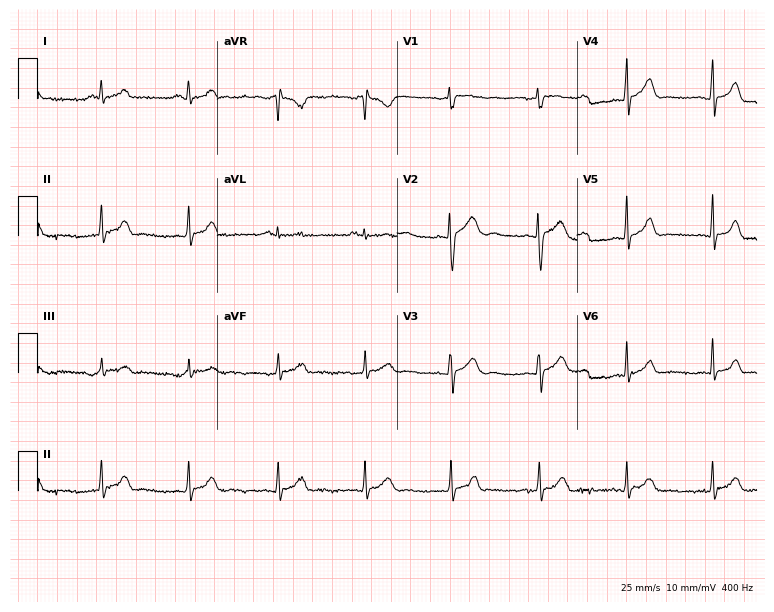
Electrocardiogram, a female, 17 years old. Overall reading on record: normal ECG.